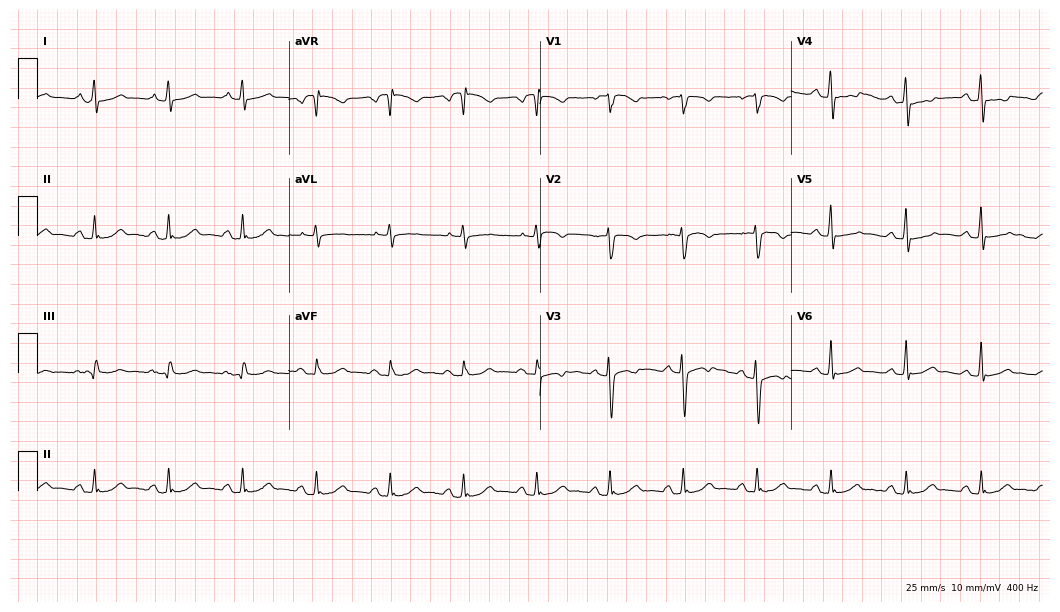
12-lead ECG (10.2-second recording at 400 Hz) from a 55-year-old man. Screened for six findings — first-degree AV block, right bundle branch block, left bundle branch block, sinus bradycardia, atrial fibrillation, sinus tachycardia — none is recorded.